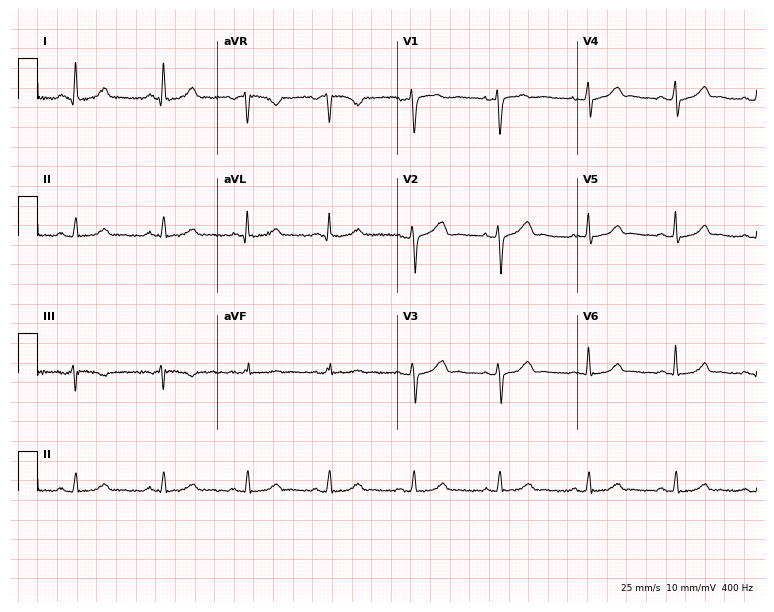
ECG — a female patient, 37 years old. Labelled as a normal ECG.